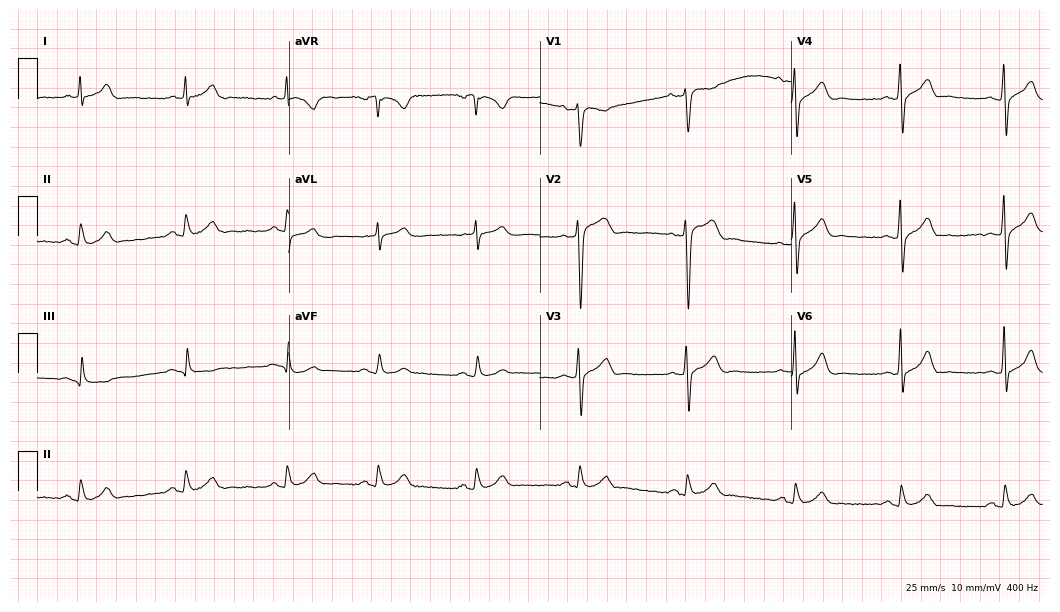
Standard 12-lead ECG recorded from a 35-year-old female patient (10.2-second recording at 400 Hz). None of these six findings is recorded: first-degree AV block, right bundle branch block (RBBB), left bundle branch block (LBBB), sinus bradycardia, atrial fibrillation (AF), sinus tachycardia. Other findings, if any, are not listed.